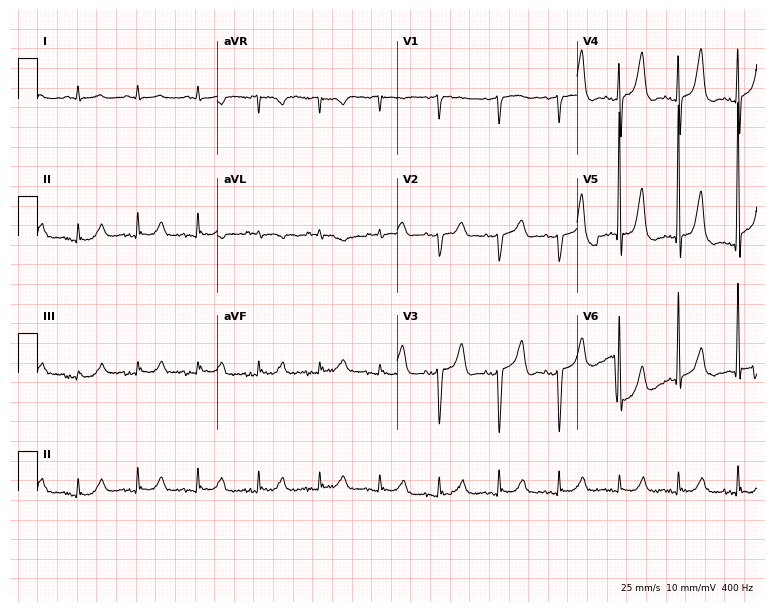
12-lead ECG from a woman, 72 years old. Screened for six findings — first-degree AV block, right bundle branch block, left bundle branch block, sinus bradycardia, atrial fibrillation, sinus tachycardia — none is recorded.